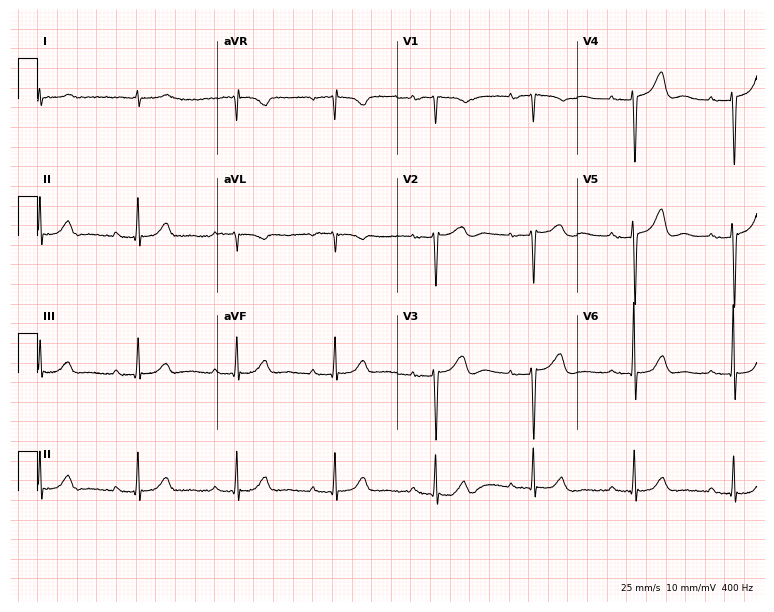
Resting 12-lead electrocardiogram (7.3-second recording at 400 Hz). Patient: an 80-year-old female. The tracing shows first-degree AV block.